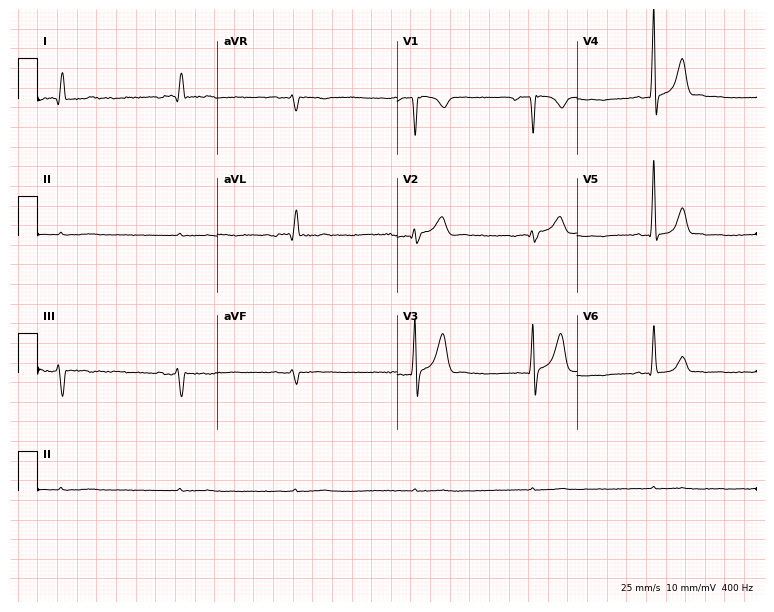
ECG — a 61-year-old male. Findings include sinus bradycardia (a sinus rate of 50 beats per minute or less).